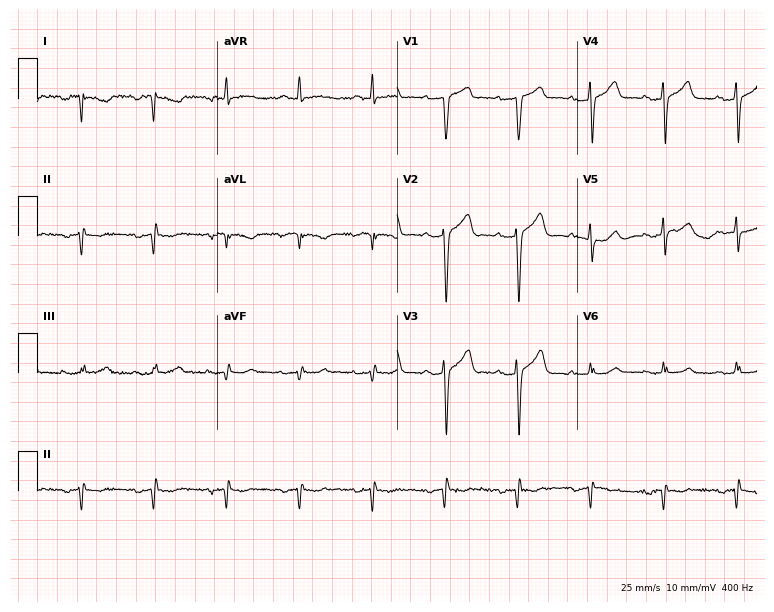
12-lead ECG from a 61-year-old man. Screened for six findings — first-degree AV block, right bundle branch block, left bundle branch block, sinus bradycardia, atrial fibrillation, sinus tachycardia — none is recorded. Only these six findings were labelled.